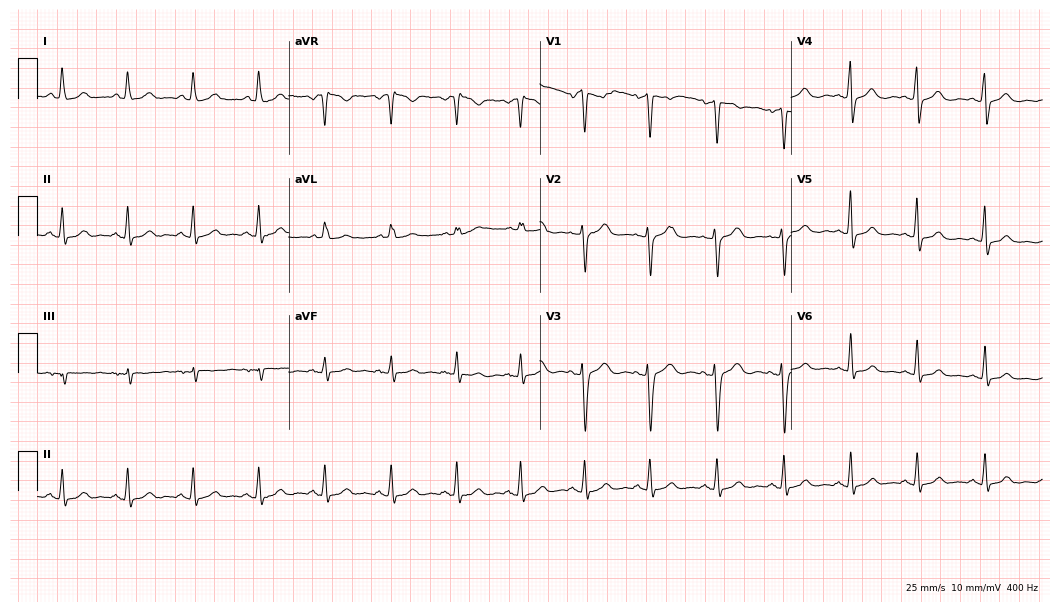
Standard 12-lead ECG recorded from a 45-year-old woman (10.2-second recording at 400 Hz). Read as a normal ECG.